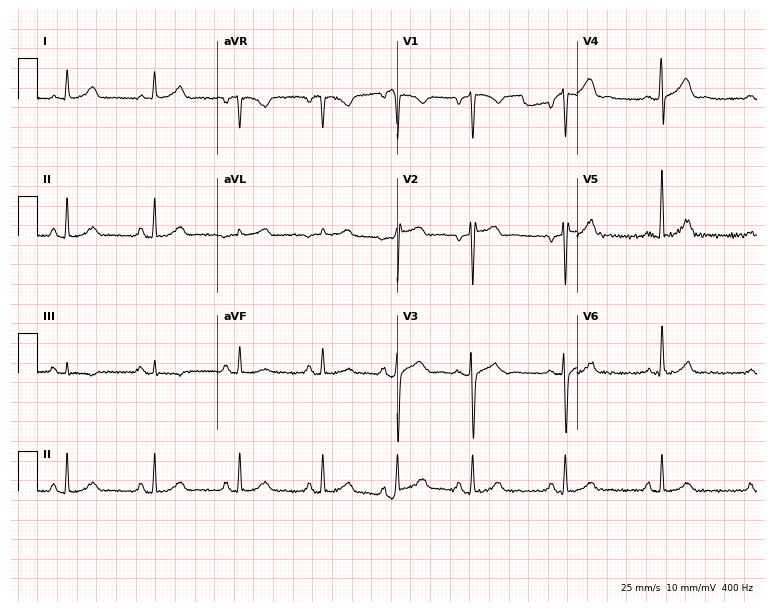
12-lead ECG from a man, 40 years old. No first-degree AV block, right bundle branch block (RBBB), left bundle branch block (LBBB), sinus bradycardia, atrial fibrillation (AF) or sinus tachycardia recorded for this tracing. Only these six findings were labelled.